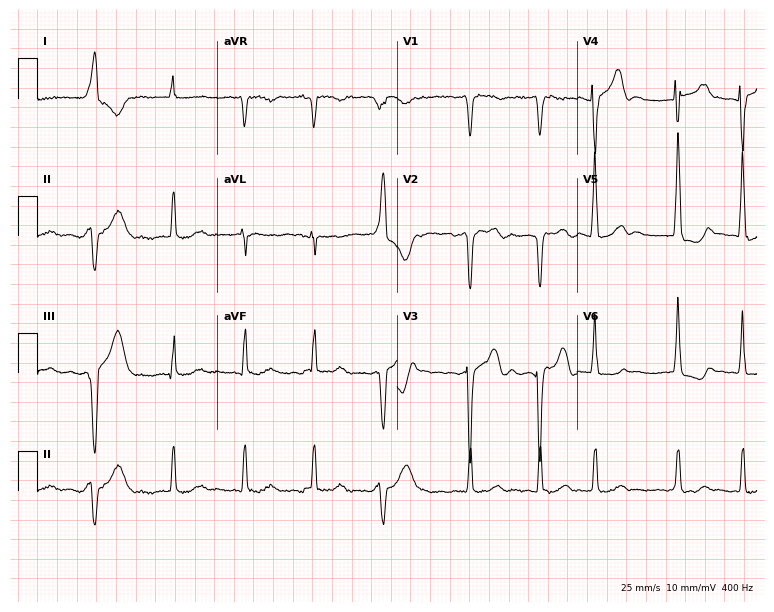
ECG (7.3-second recording at 400 Hz) — a male patient, 84 years old. Findings include atrial fibrillation.